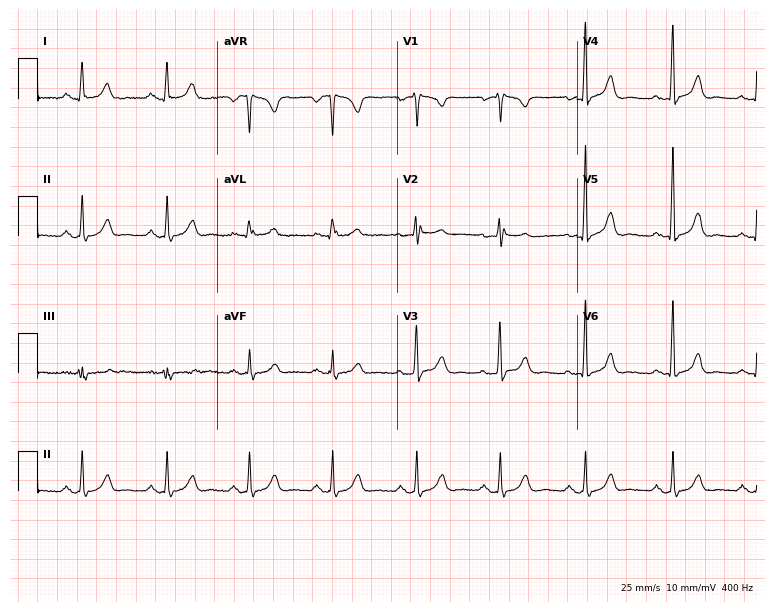
ECG — a 49-year-old female. Labelled as a normal ECG.